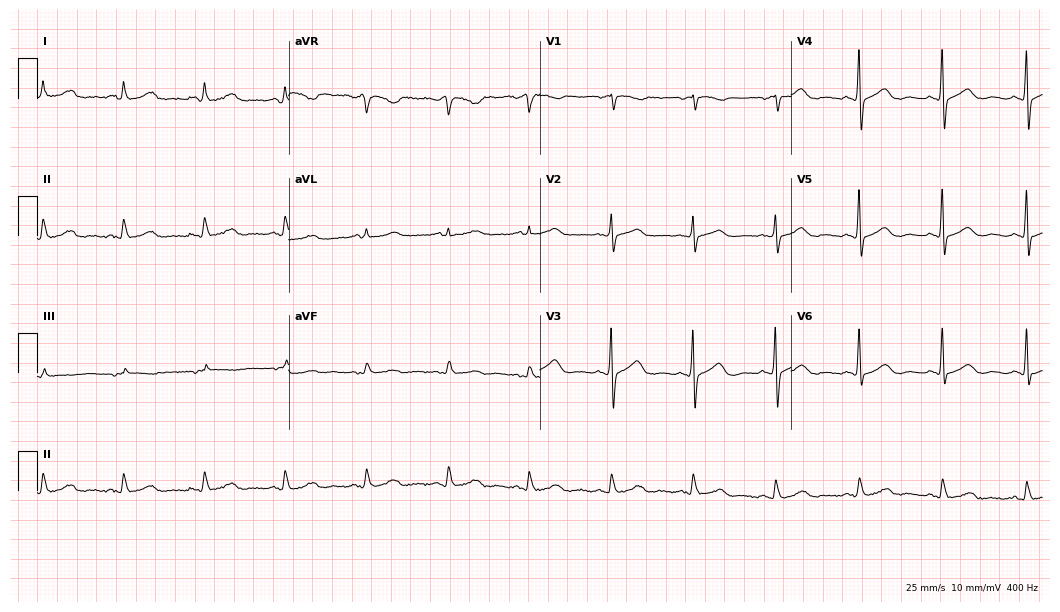
Standard 12-lead ECG recorded from a 73-year-old woman. Read as a normal ECG.